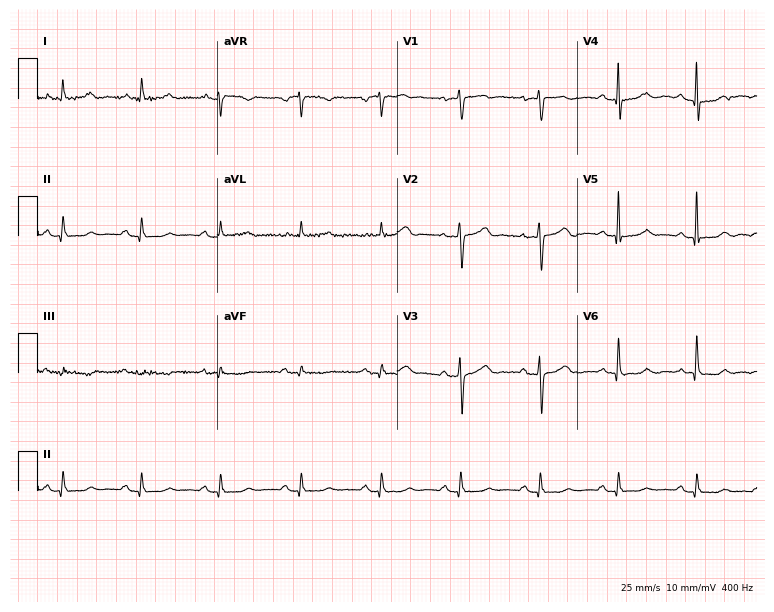
12-lead ECG from a man, 76 years old. Screened for six findings — first-degree AV block, right bundle branch block (RBBB), left bundle branch block (LBBB), sinus bradycardia, atrial fibrillation (AF), sinus tachycardia — none is recorded. Findings outside these six are not listed.